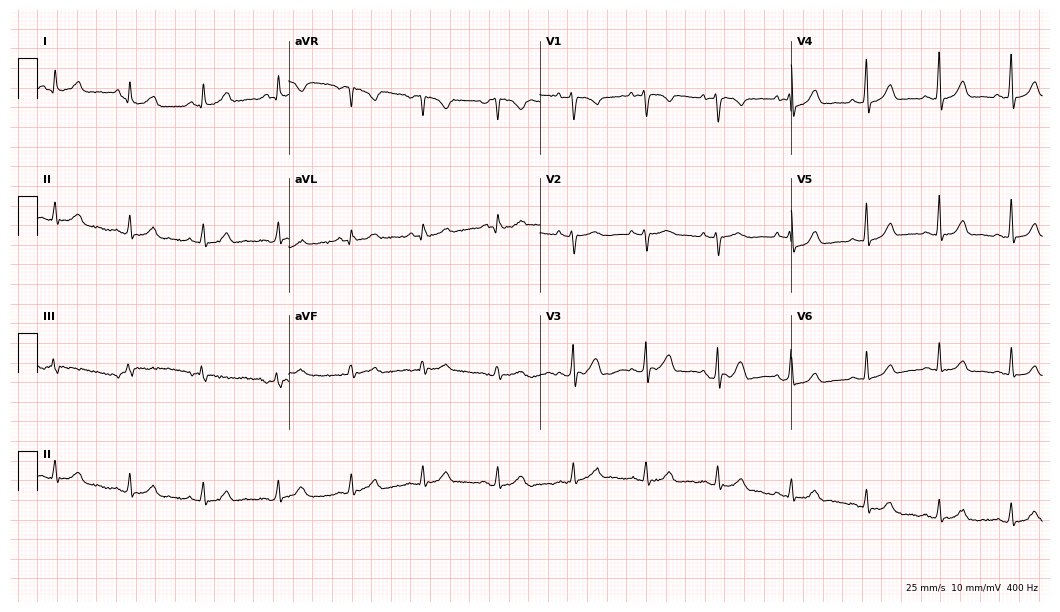
Resting 12-lead electrocardiogram (10.2-second recording at 400 Hz). Patient: a woman, 42 years old. Read as a normal ECG.